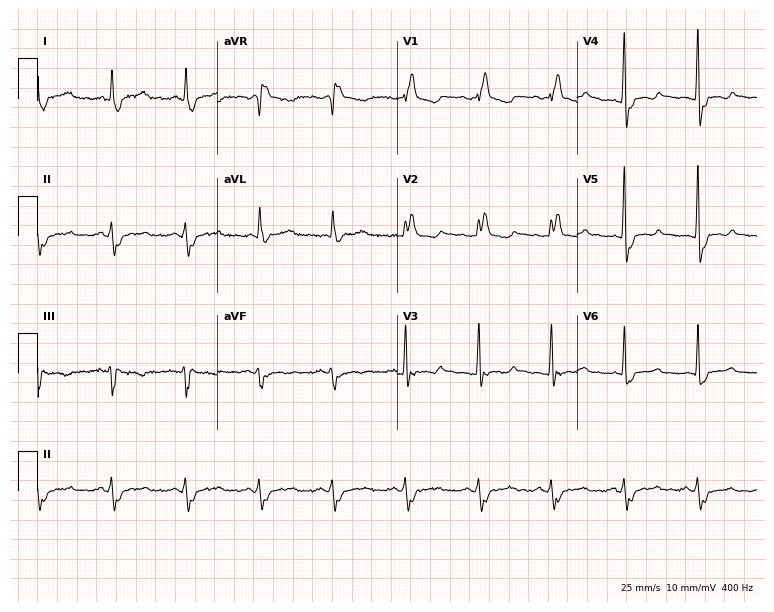
12-lead ECG from a 55-year-old female patient. Findings include right bundle branch block.